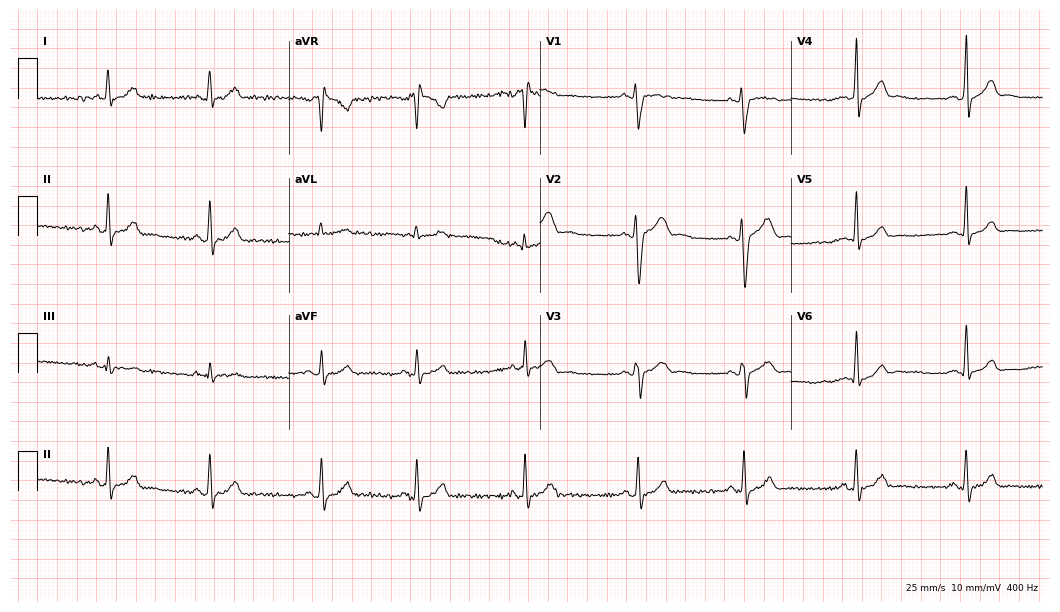
Standard 12-lead ECG recorded from an 18-year-old male patient (10.2-second recording at 400 Hz). None of these six findings is recorded: first-degree AV block, right bundle branch block (RBBB), left bundle branch block (LBBB), sinus bradycardia, atrial fibrillation (AF), sinus tachycardia.